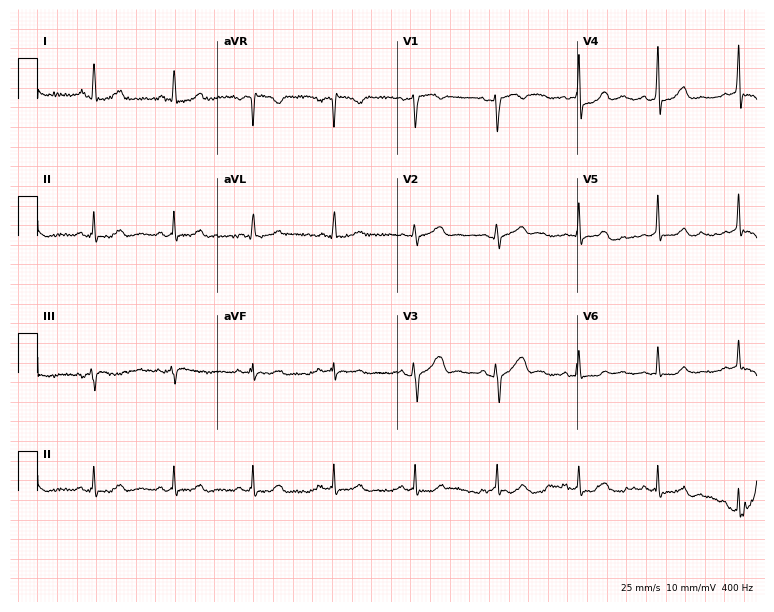
Electrocardiogram, a 50-year-old woman. Overall reading on record: normal ECG.